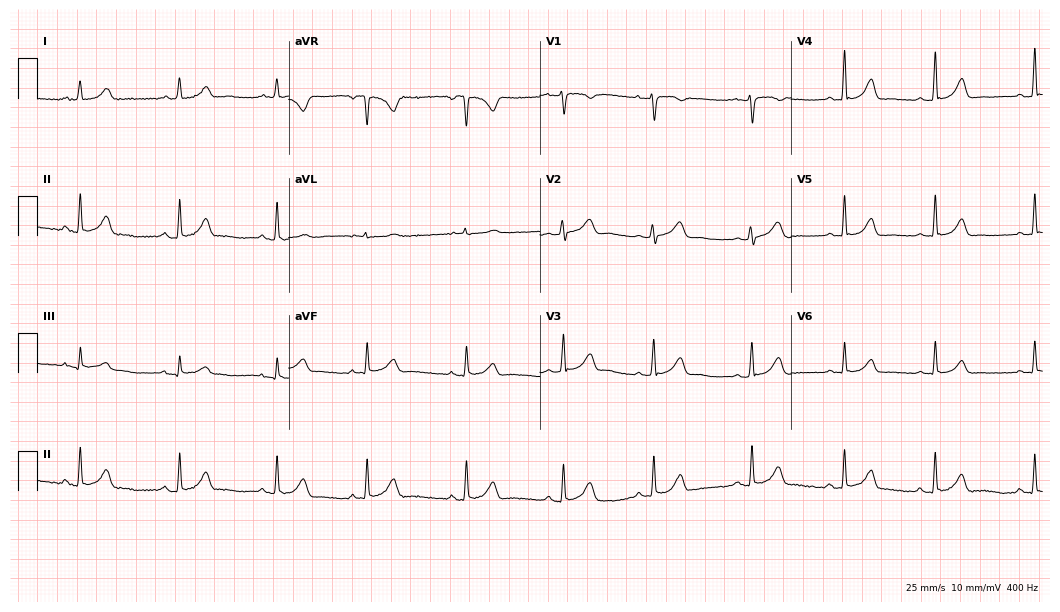
Electrocardiogram, a woman, 28 years old. Overall reading on record: normal ECG.